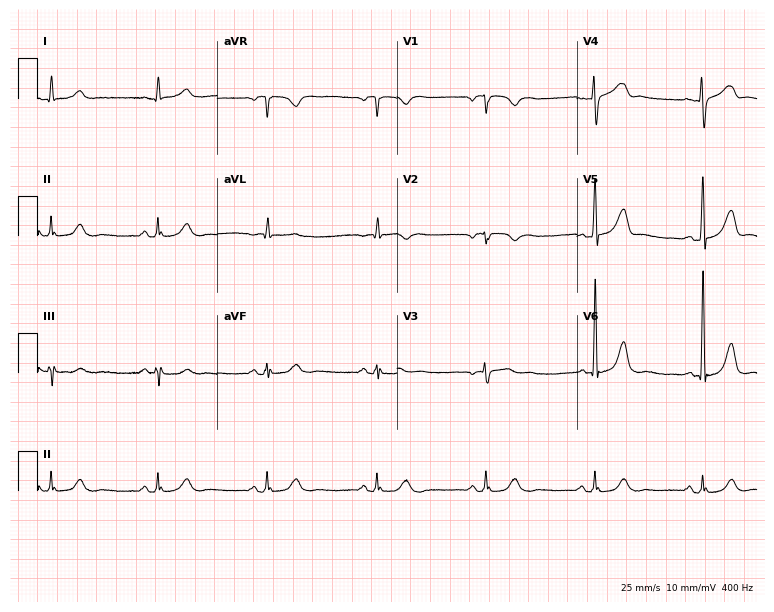
12-lead ECG from a 69-year-old male patient (7.3-second recording at 400 Hz). Recorded interpretation: within normal limits.